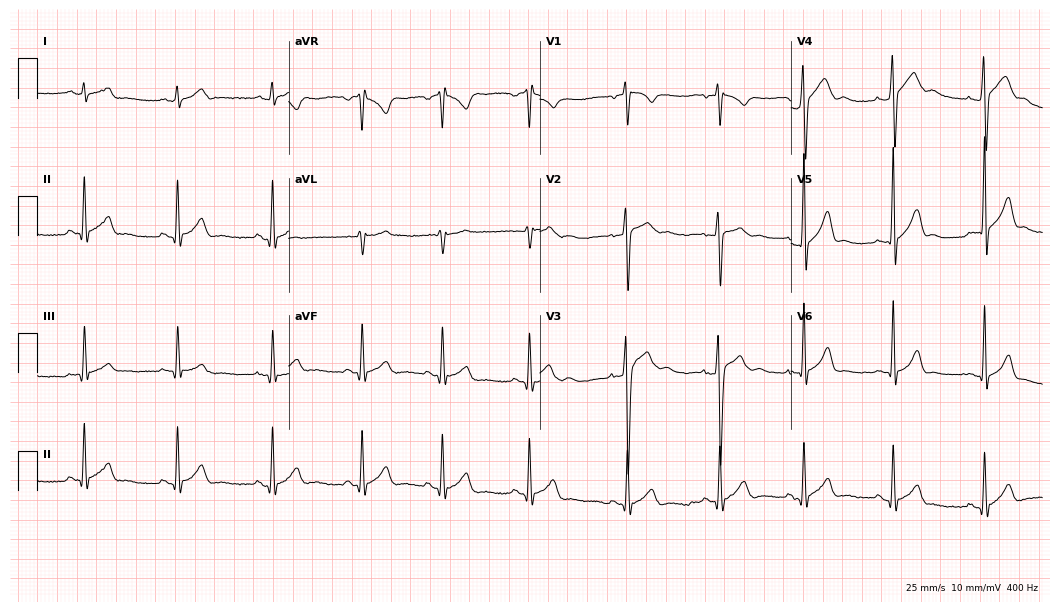
ECG — a man, 18 years old. Labelled as a normal ECG.